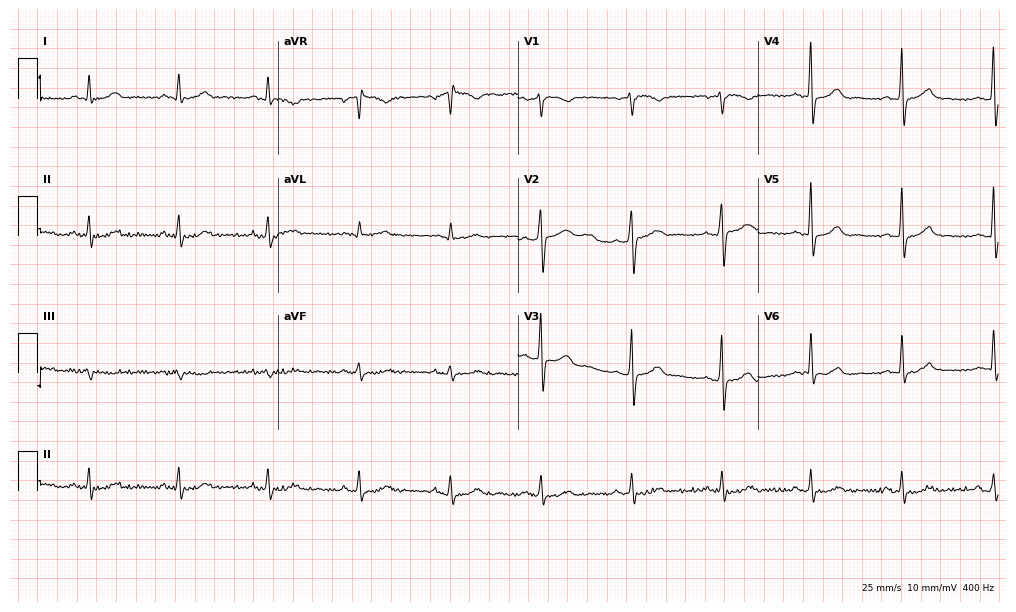
12-lead ECG from a 57-year-old male. Labelled as a normal ECG.